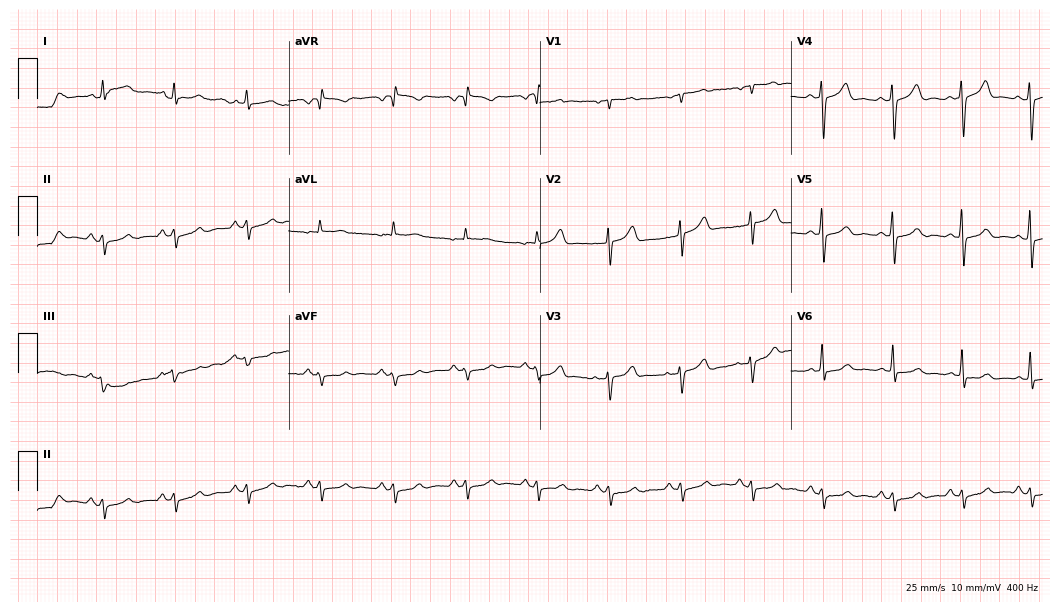
Electrocardiogram (10.2-second recording at 400 Hz), a male patient, 77 years old. Of the six screened findings (first-degree AV block, right bundle branch block, left bundle branch block, sinus bradycardia, atrial fibrillation, sinus tachycardia), none is recorded. Only these six findings were labelled.